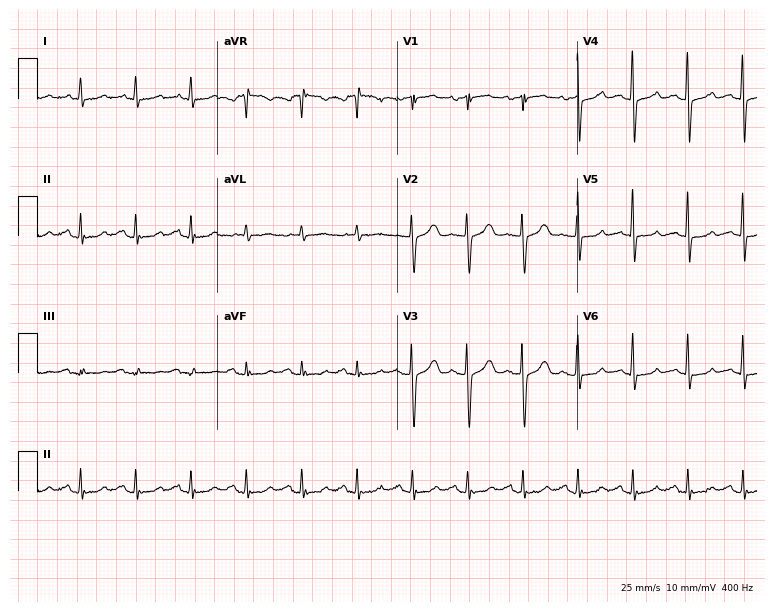
Standard 12-lead ECG recorded from a female patient, 66 years old (7.3-second recording at 400 Hz). The tracing shows sinus tachycardia (a sinus rate of 100 beats per minute or more).